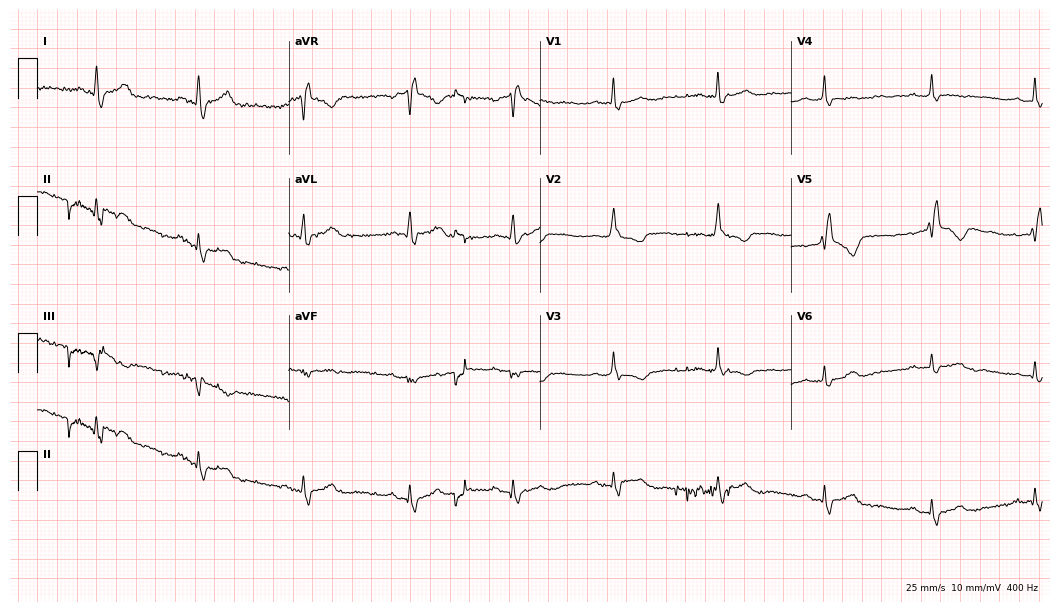
Electrocardiogram (10.2-second recording at 400 Hz), a 52-year-old woman. Interpretation includes right bundle branch block.